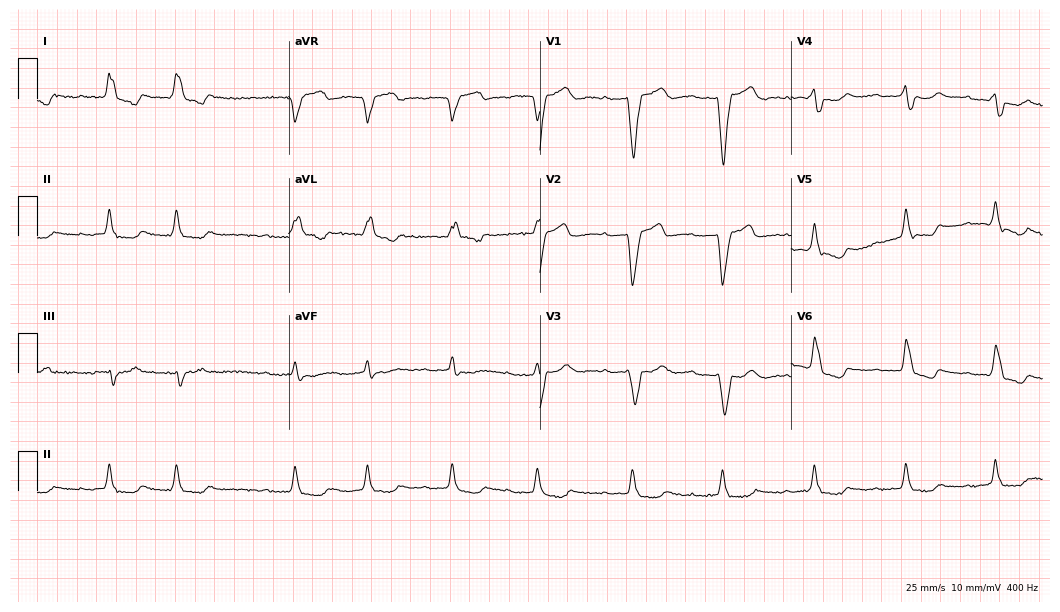
Standard 12-lead ECG recorded from a man, 78 years old. The tracing shows left bundle branch block, atrial fibrillation.